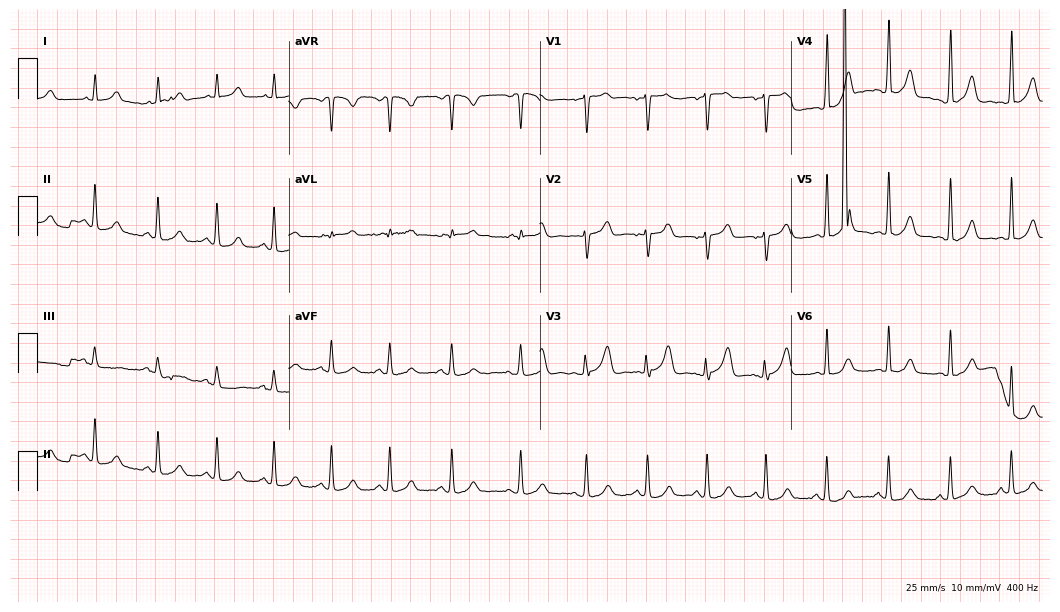
Electrocardiogram (10.2-second recording at 400 Hz), a 41-year-old female. Overall reading on record: normal ECG.